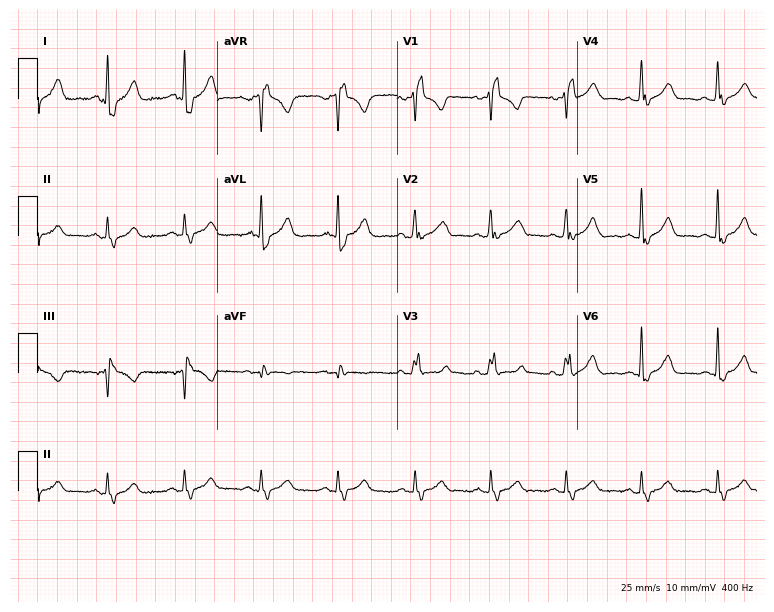
12-lead ECG from a 43-year-old woman. Shows right bundle branch block.